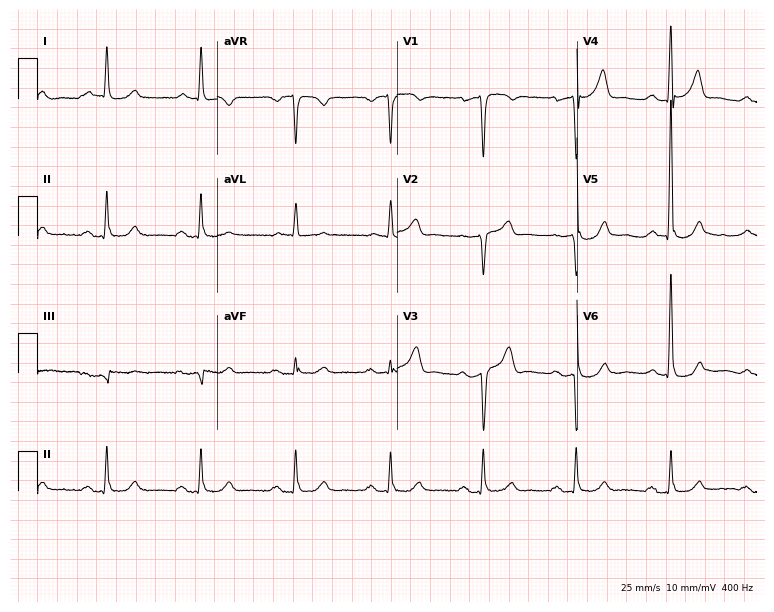
Electrocardiogram, a man, 65 years old. Interpretation includes first-degree AV block.